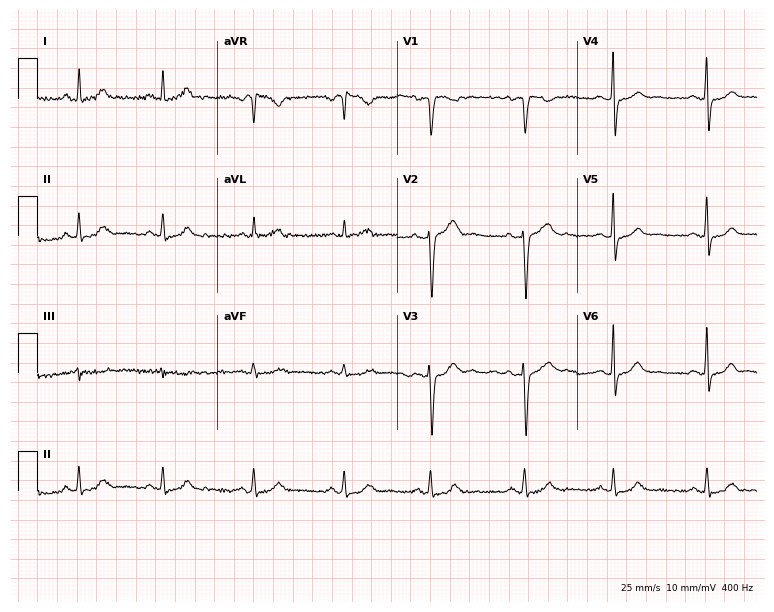
12-lead ECG from a 35-year-old woman. Recorded interpretation: within normal limits.